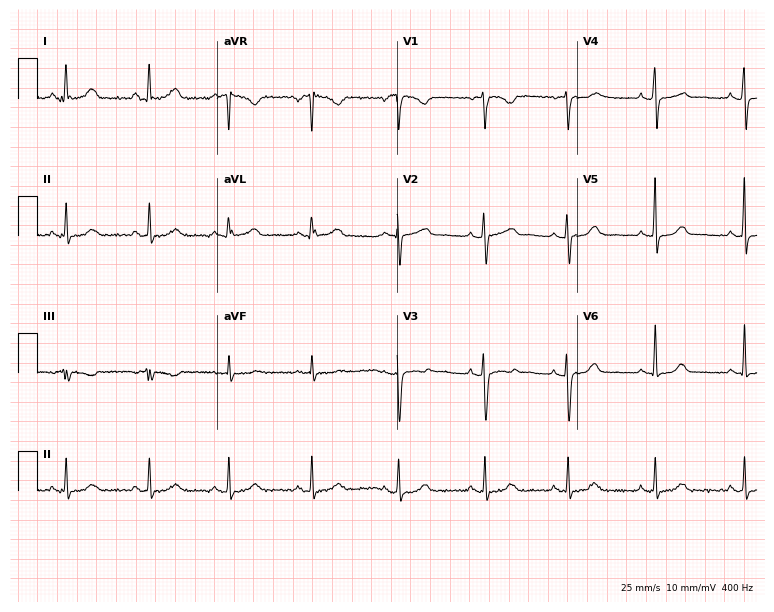
12-lead ECG (7.3-second recording at 400 Hz) from a female, 40 years old. Screened for six findings — first-degree AV block, right bundle branch block, left bundle branch block, sinus bradycardia, atrial fibrillation, sinus tachycardia — none is recorded.